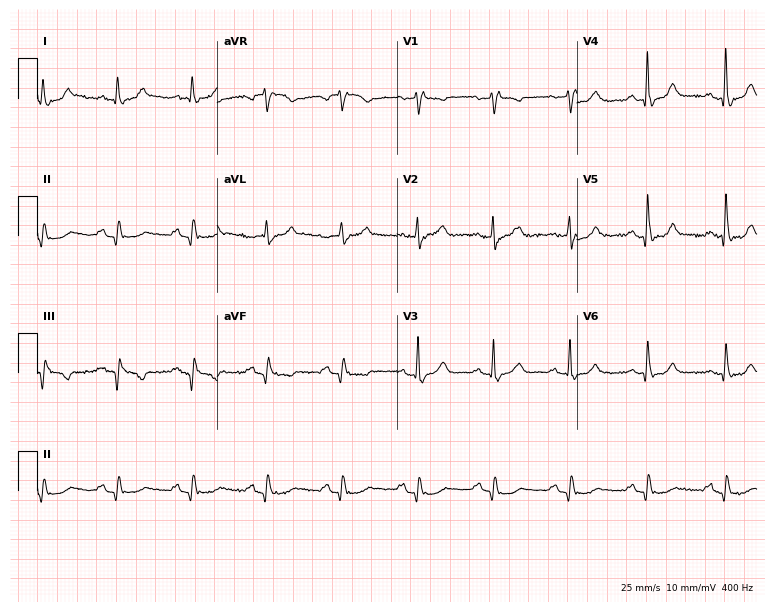
ECG (7.3-second recording at 400 Hz) — a 73-year-old male. Screened for six findings — first-degree AV block, right bundle branch block, left bundle branch block, sinus bradycardia, atrial fibrillation, sinus tachycardia — none is recorded. Other findings, if any, are not listed.